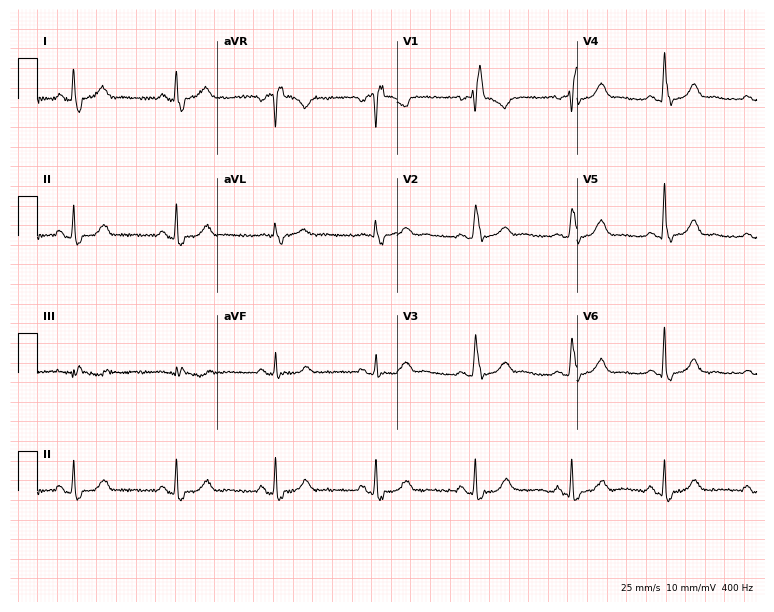
Standard 12-lead ECG recorded from a female, 65 years old (7.3-second recording at 400 Hz). The tracing shows right bundle branch block (RBBB).